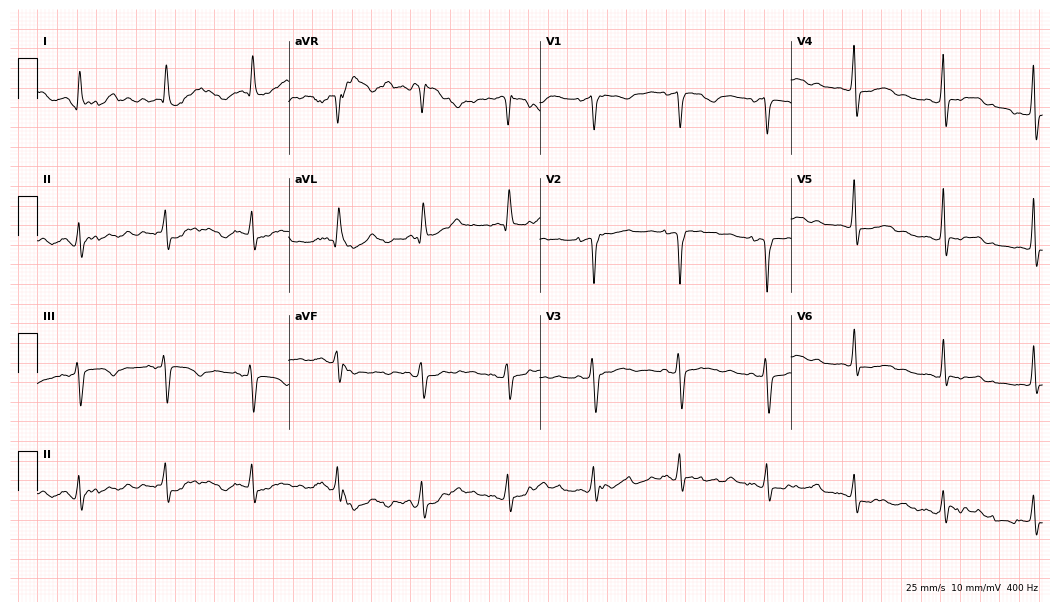
12-lead ECG from a 55-year-old female (10.2-second recording at 400 Hz). No first-degree AV block, right bundle branch block, left bundle branch block, sinus bradycardia, atrial fibrillation or sinus tachycardia recorded for this tracing. Only these six findings were labelled.